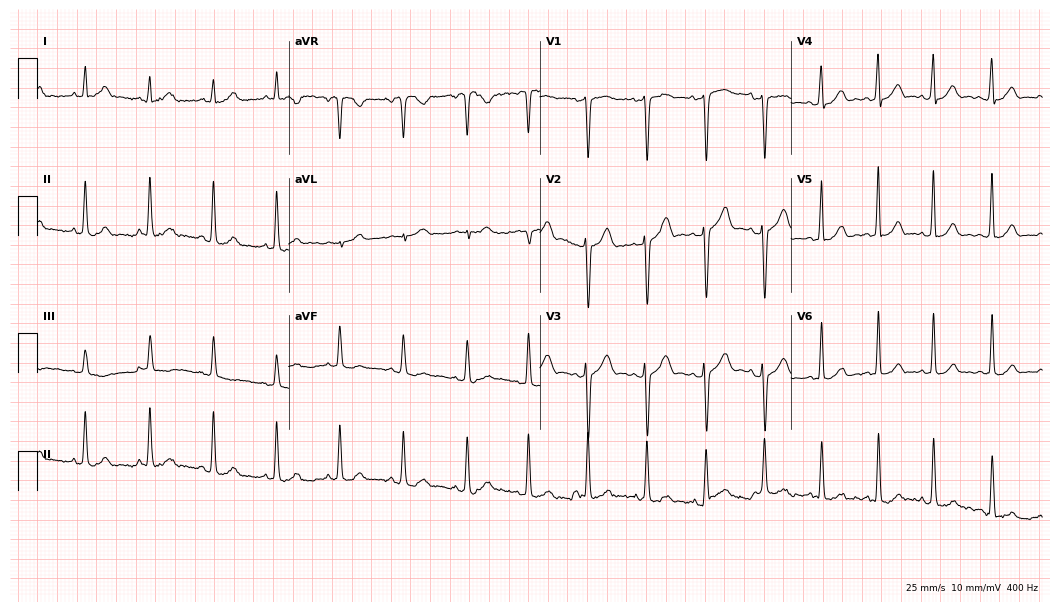
12-lead ECG from a female patient, 30 years old. Recorded interpretation: within normal limits.